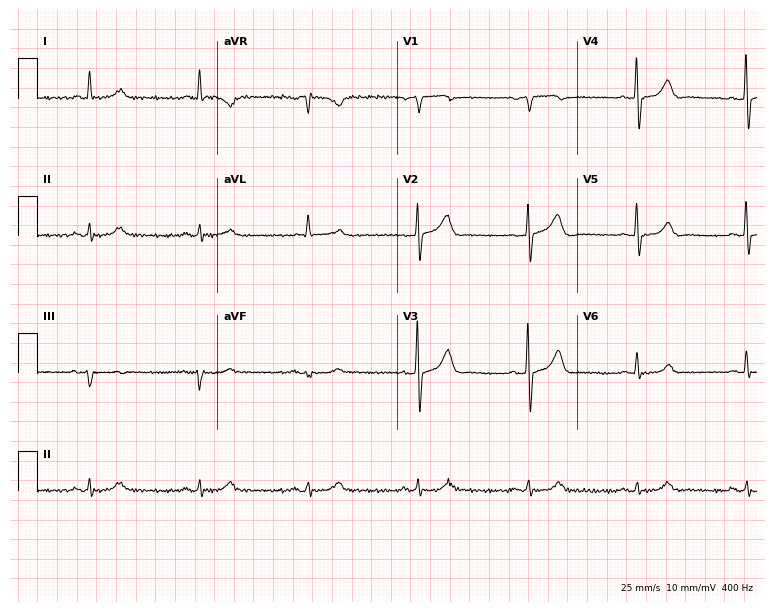
ECG — a male, 82 years old. Screened for six findings — first-degree AV block, right bundle branch block, left bundle branch block, sinus bradycardia, atrial fibrillation, sinus tachycardia — none is recorded. Other findings, if any, are not listed.